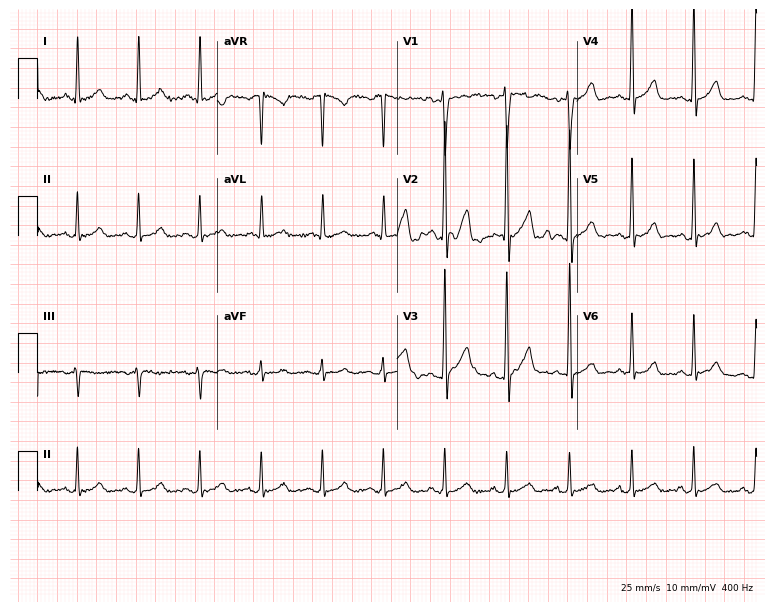
Standard 12-lead ECG recorded from a 52-year-old male patient (7.3-second recording at 400 Hz). None of these six findings is recorded: first-degree AV block, right bundle branch block, left bundle branch block, sinus bradycardia, atrial fibrillation, sinus tachycardia. Only these six findings were labelled.